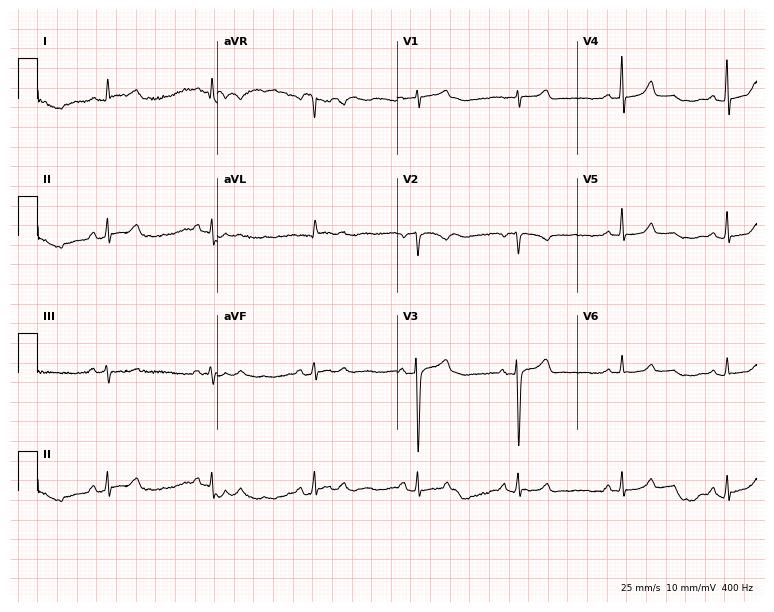
Standard 12-lead ECG recorded from a 60-year-old male. Read as a normal ECG.